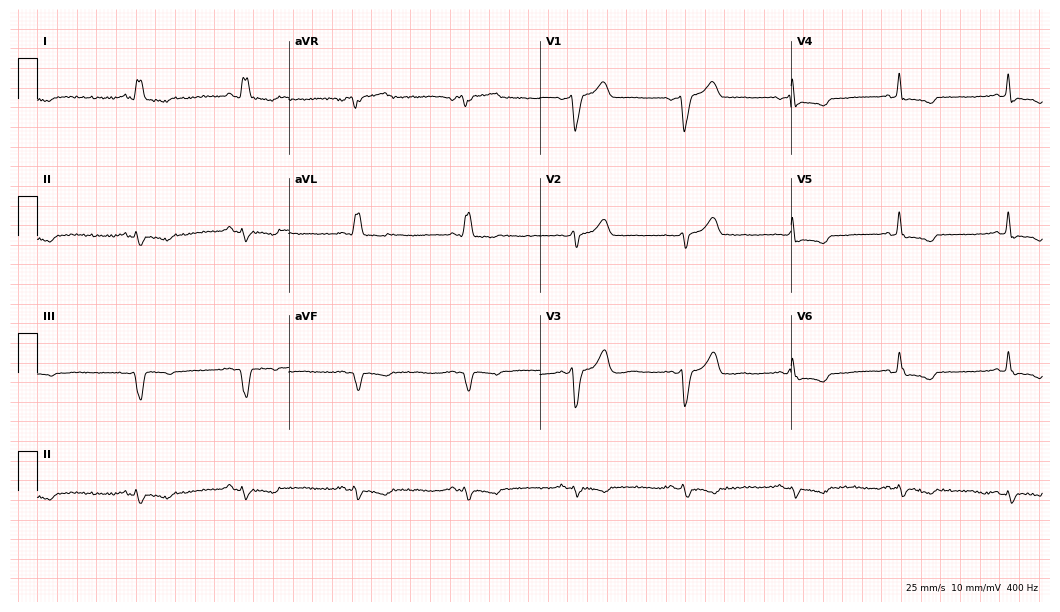
12-lead ECG from an 84-year-old male patient. Findings include left bundle branch block.